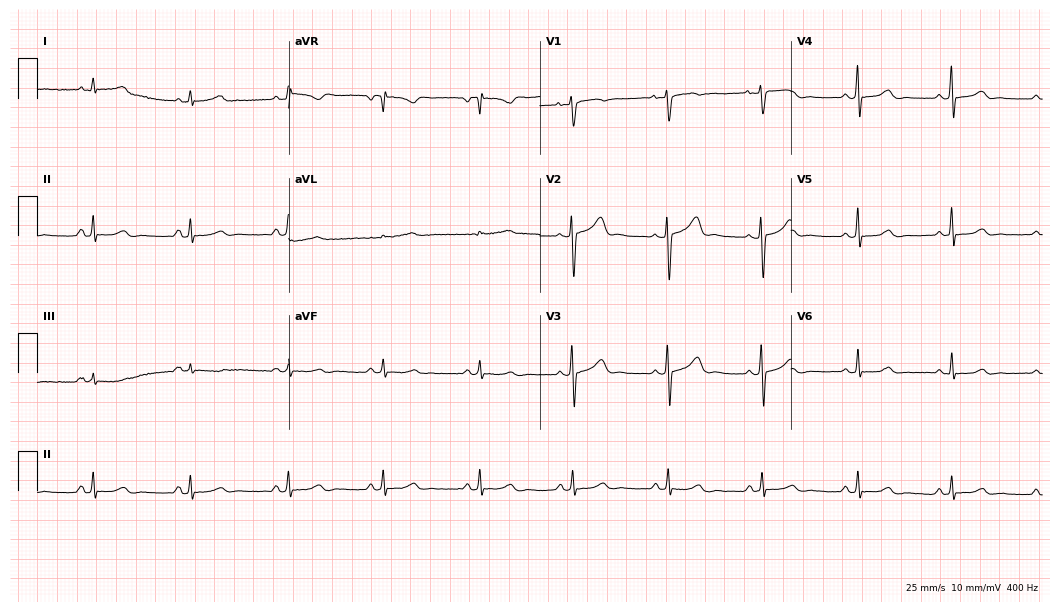
Standard 12-lead ECG recorded from a female, 45 years old (10.2-second recording at 400 Hz). None of these six findings is recorded: first-degree AV block, right bundle branch block (RBBB), left bundle branch block (LBBB), sinus bradycardia, atrial fibrillation (AF), sinus tachycardia. Findings outside these six are not listed.